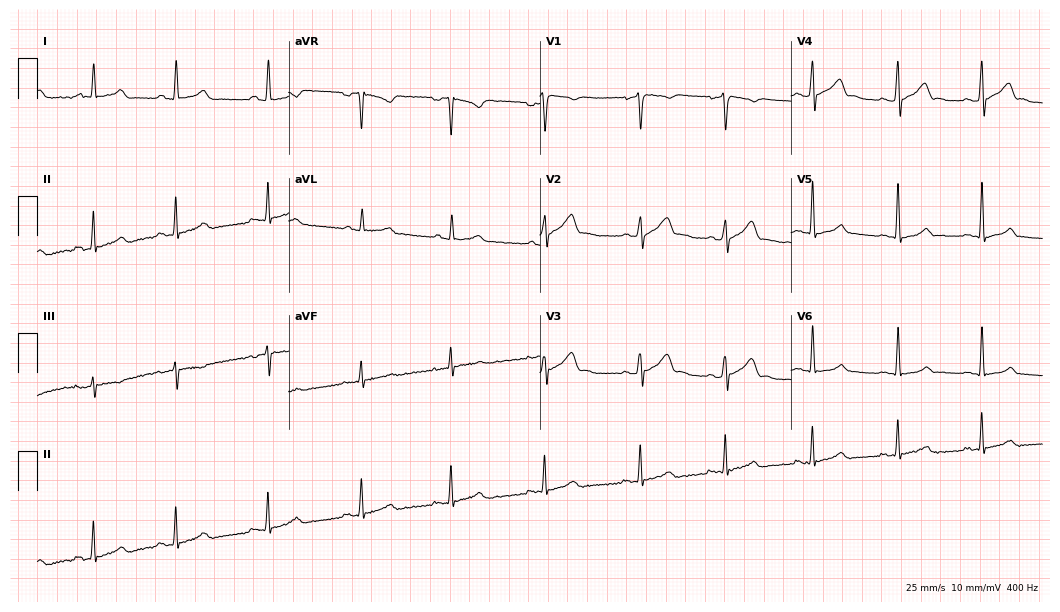
Resting 12-lead electrocardiogram (10.2-second recording at 400 Hz). Patient: a male, 24 years old. Read as a normal ECG.